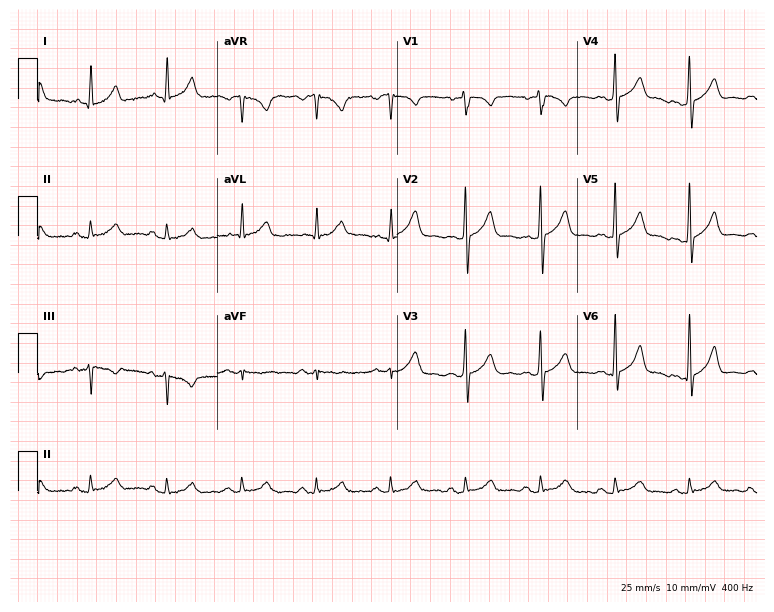
ECG — a 43-year-old male. Labelled as a normal ECG.